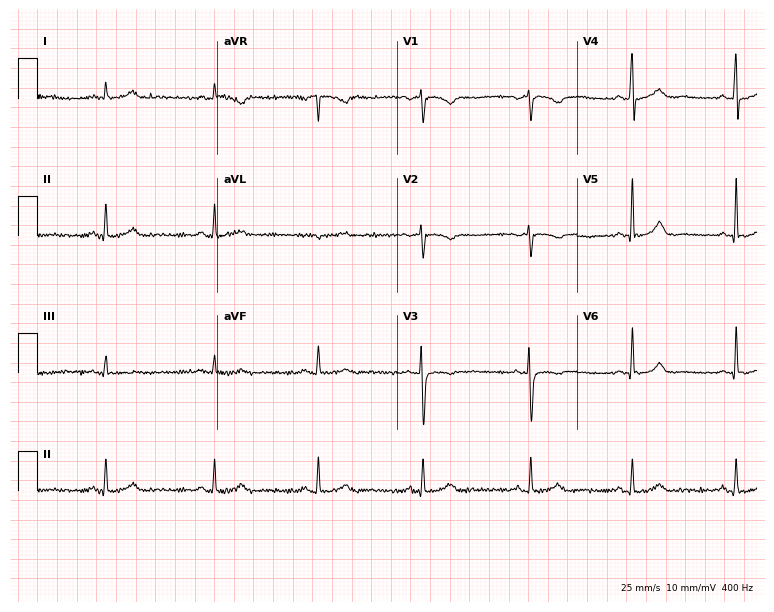
Standard 12-lead ECG recorded from a 41-year-old woman. Read as a normal ECG.